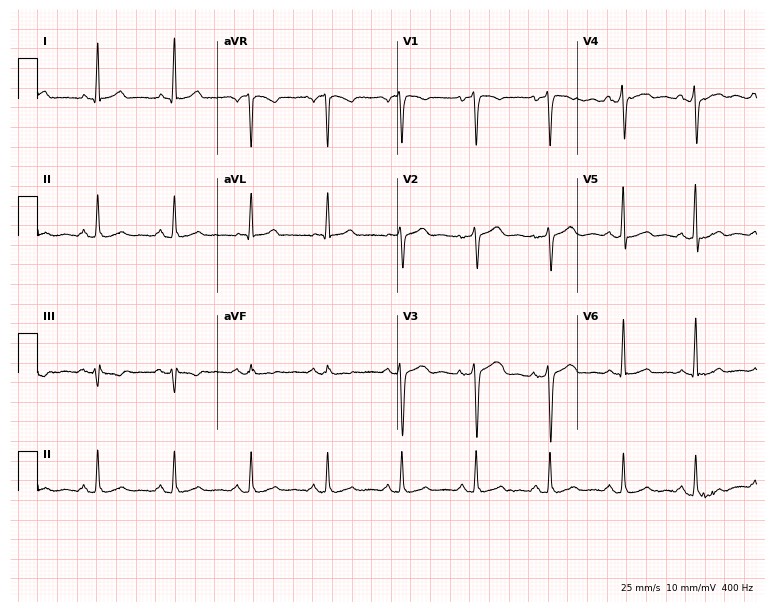
Electrocardiogram (7.3-second recording at 400 Hz), a female, 50 years old. Of the six screened findings (first-degree AV block, right bundle branch block, left bundle branch block, sinus bradycardia, atrial fibrillation, sinus tachycardia), none is recorded. Findings outside these six are not listed.